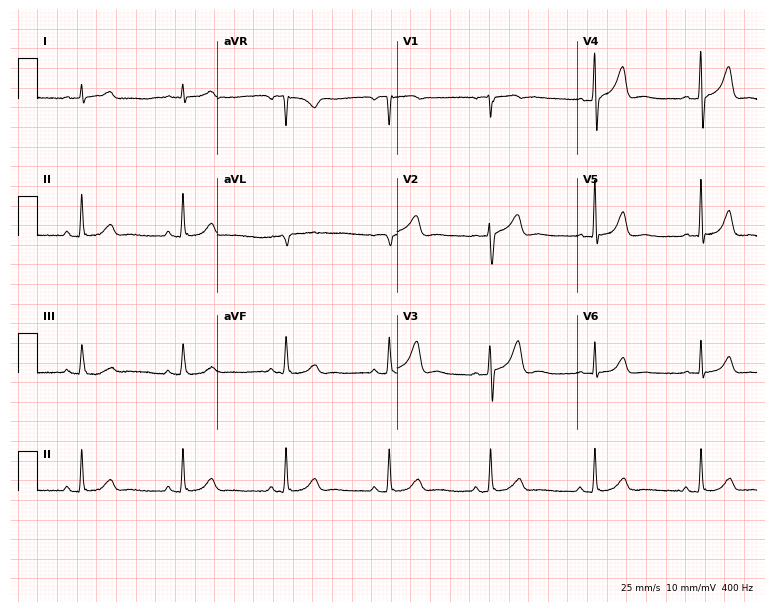
Electrocardiogram (7.3-second recording at 400 Hz), a 62-year-old man. Overall reading on record: normal ECG.